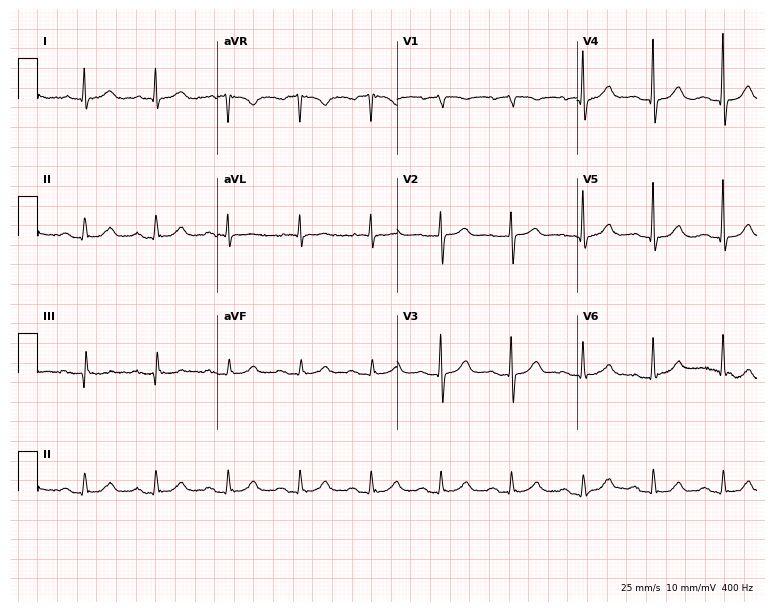
Resting 12-lead electrocardiogram. Patient: a 75-year-old male. The tracing shows first-degree AV block.